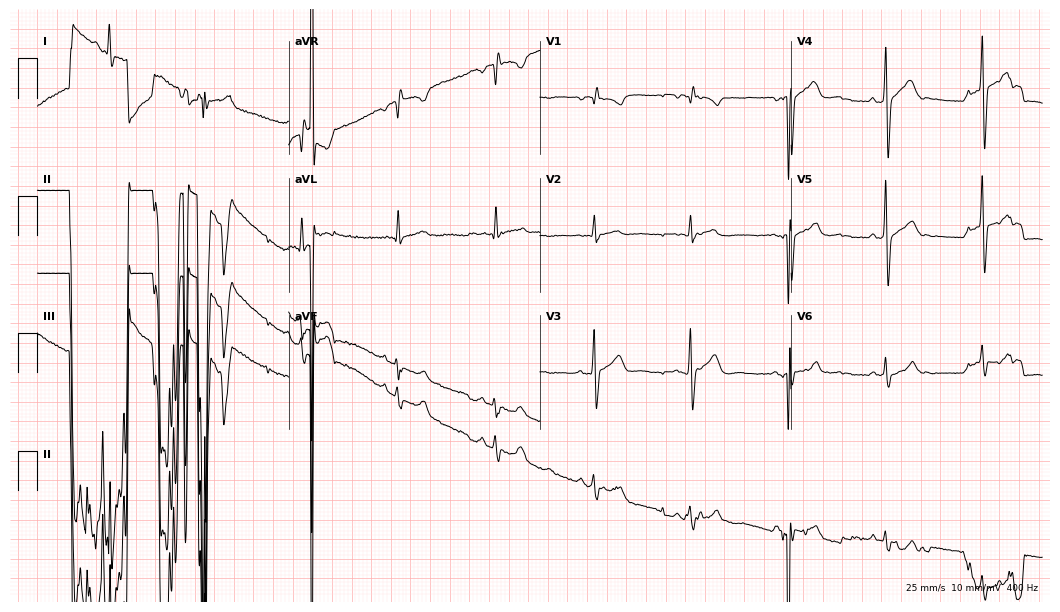
ECG (10.2-second recording at 400 Hz) — a 48-year-old male patient. Screened for six findings — first-degree AV block, right bundle branch block, left bundle branch block, sinus bradycardia, atrial fibrillation, sinus tachycardia — none is recorded. Only these six findings were labelled.